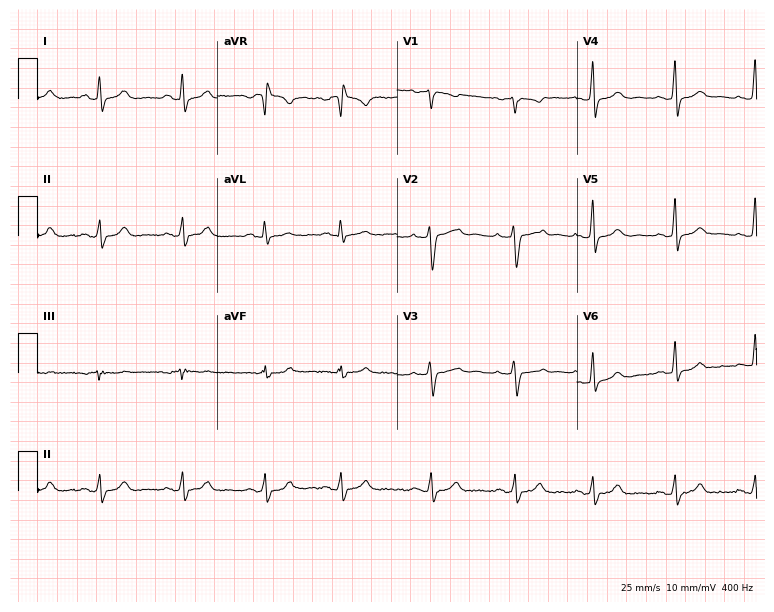
Resting 12-lead electrocardiogram (7.3-second recording at 400 Hz). Patient: a 32-year-old woman. None of these six findings is recorded: first-degree AV block, right bundle branch block, left bundle branch block, sinus bradycardia, atrial fibrillation, sinus tachycardia. Findings outside these six are not listed.